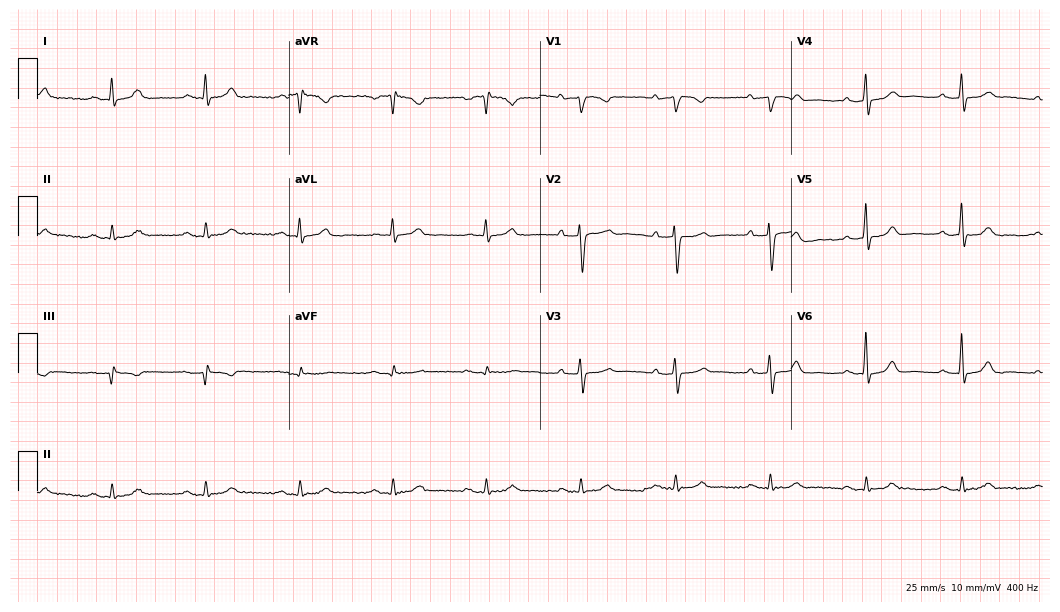
ECG — a 67-year-old man. Screened for six findings — first-degree AV block, right bundle branch block, left bundle branch block, sinus bradycardia, atrial fibrillation, sinus tachycardia — none is recorded. Other findings, if any, are not listed.